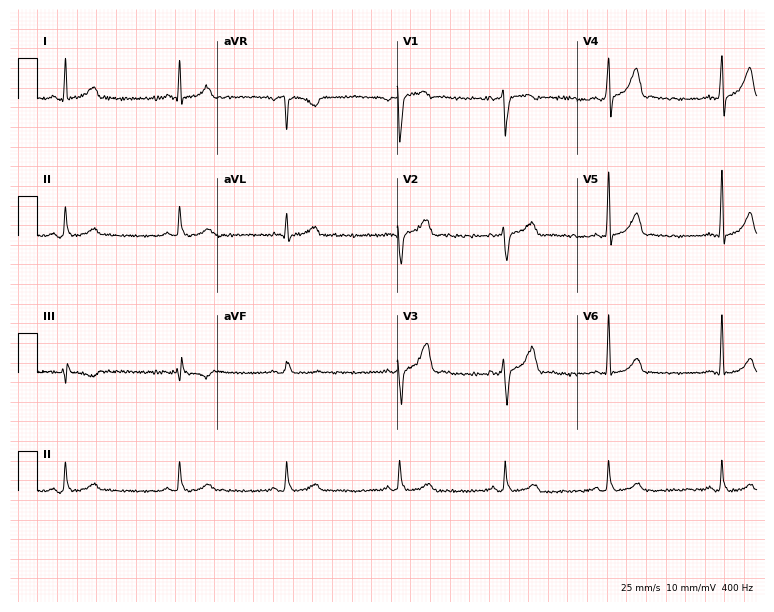
ECG — a 40-year-old male. Labelled as a normal ECG.